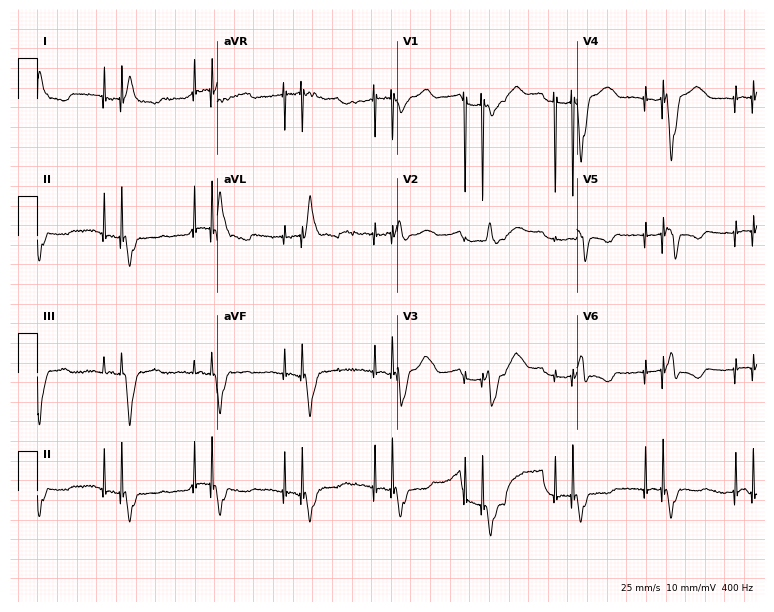
Resting 12-lead electrocardiogram (7.3-second recording at 400 Hz). Patient: a male, 80 years old. None of these six findings is recorded: first-degree AV block, right bundle branch block, left bundle branch block, sinus bradycardia, atrial fibrillation, sinus tachycardia.